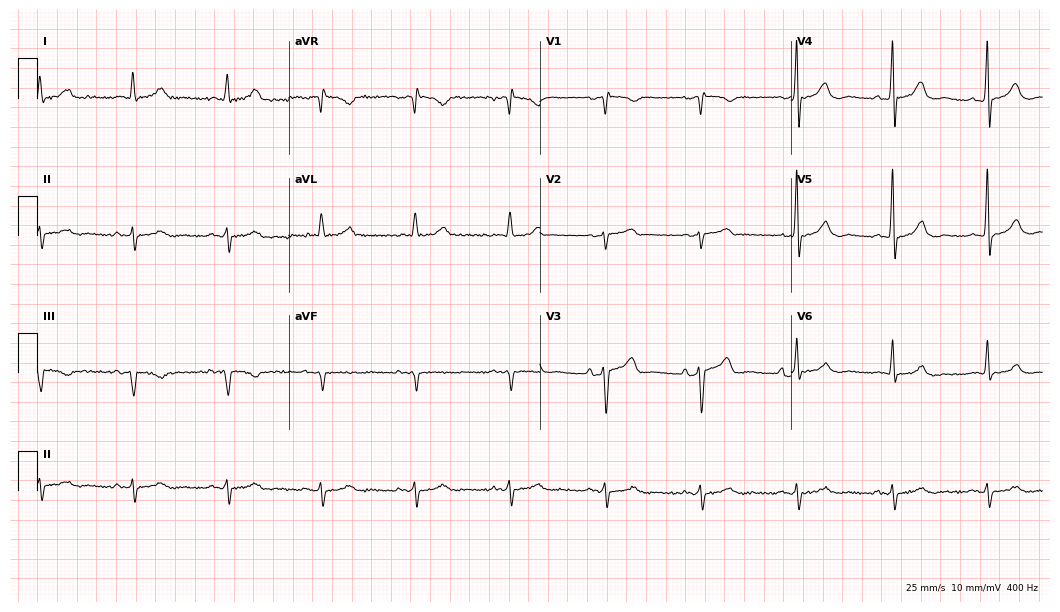
12-lead ECG (10.2-second recording at 400 Hz) from an 80-year-old male patient. Screened for six findings — first-degree AV block, right bundle branch block, left bundle branch block, sinus bradycardia, atrial fibrillation, sinus tachycardia — none is recorded. Findings outside these six are not listed.